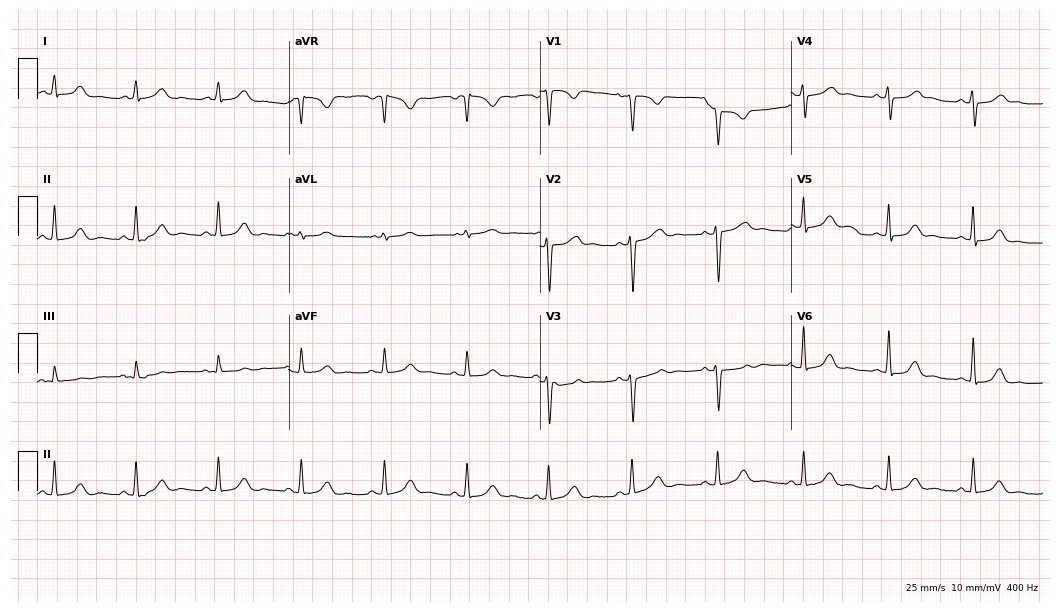
12-lead ECG from a 36-year-old woman. Labelled as a normal ECG.